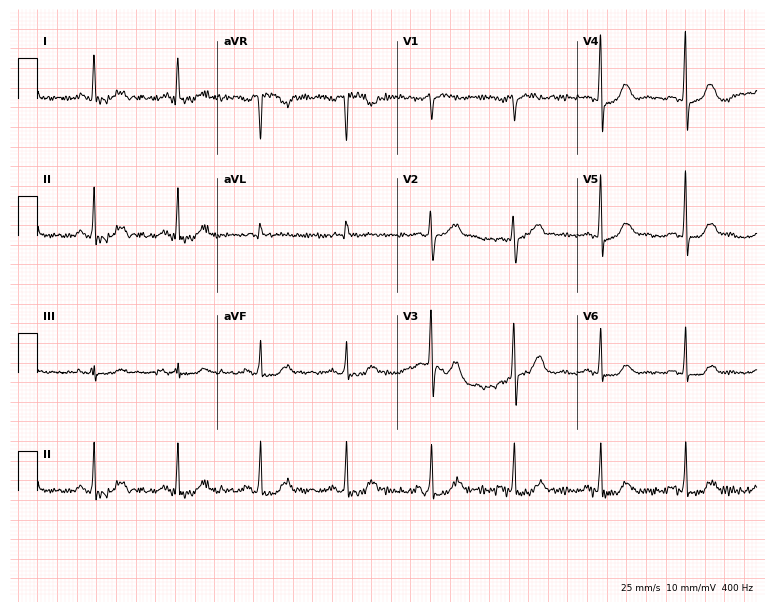
Electrocardiogram, a 55-year-old female patient. Of the six screened findings (first-degree AV block, right bundle branch block, left bundle branch block, sinus bradycardia, atrial fibrillation, sinus tachycardia), none is recorded.